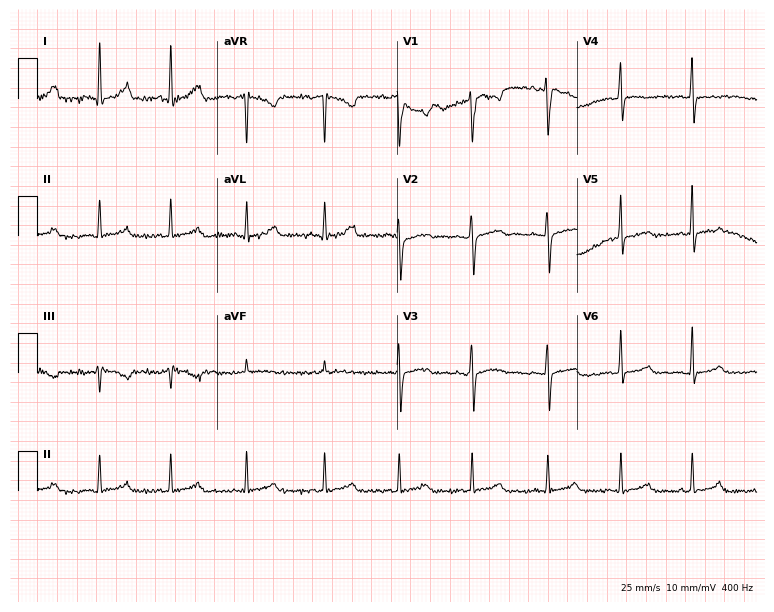
12-lead ECG (7.3-second recording at 400 Hz) from a 26-year-old woman. Labelled as a normal ECG.